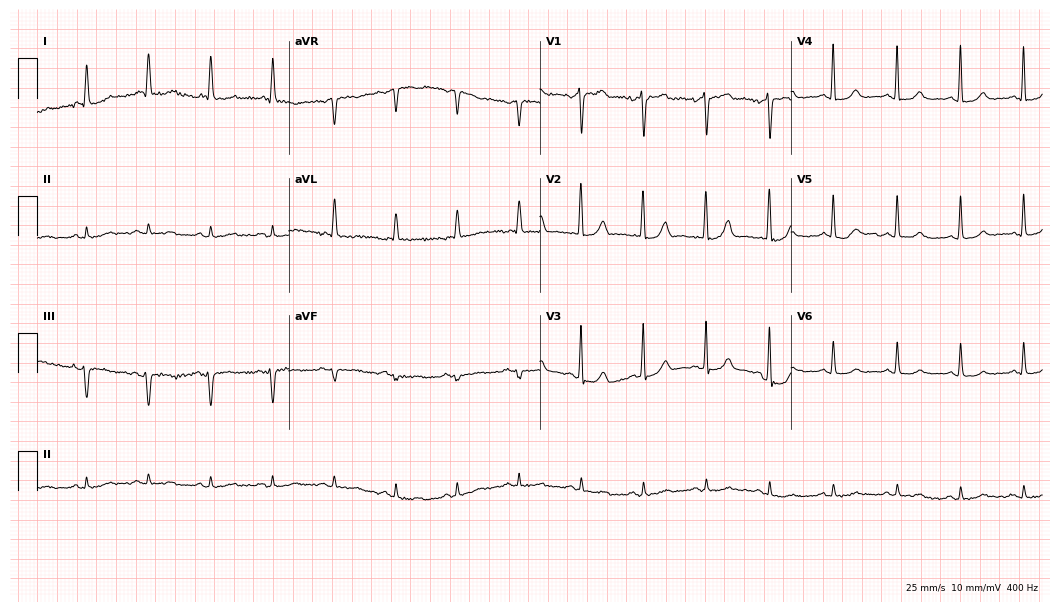
12-lead ECG (10.2-second recording at 400 Hz) from an 82-year-old female patient. Screened for six findings — first-degree AV block, right bundle branch block, left bundle branch block, sinus bradycardia, atrial fibrillation, sinus tachycardia — none is recorded. Other findings, if any, are not listed.